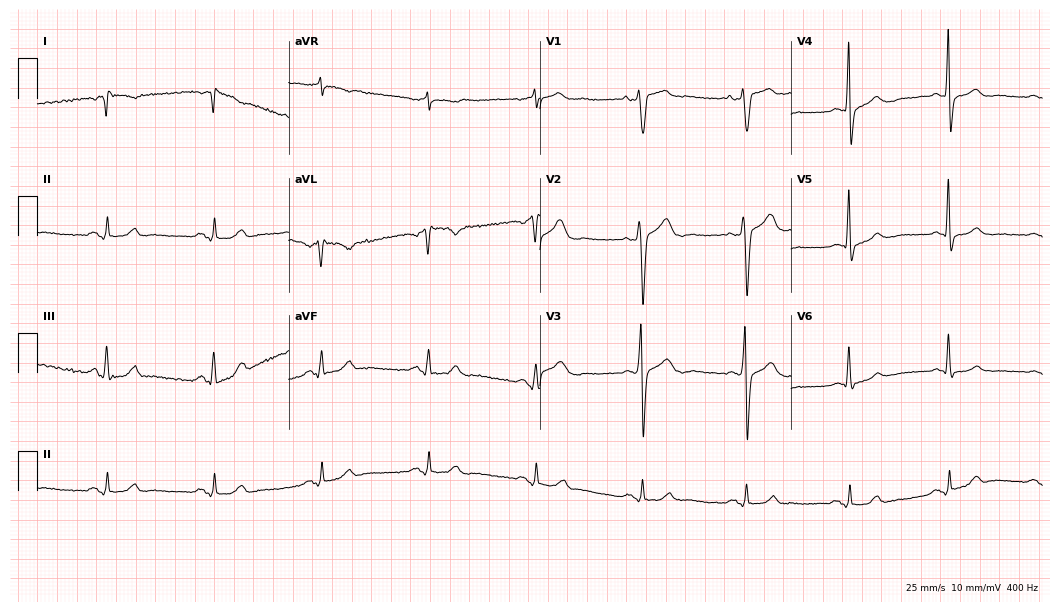
12-lead ECG (10.2-second recording at 400 Hz) from a 52-year-old male. Screened for six findings — first-degree AV block, right bundle branch block, left bundle branch block, sinus bradycardia, atrial fibrillation, sinus tachycardia — none is recorded.